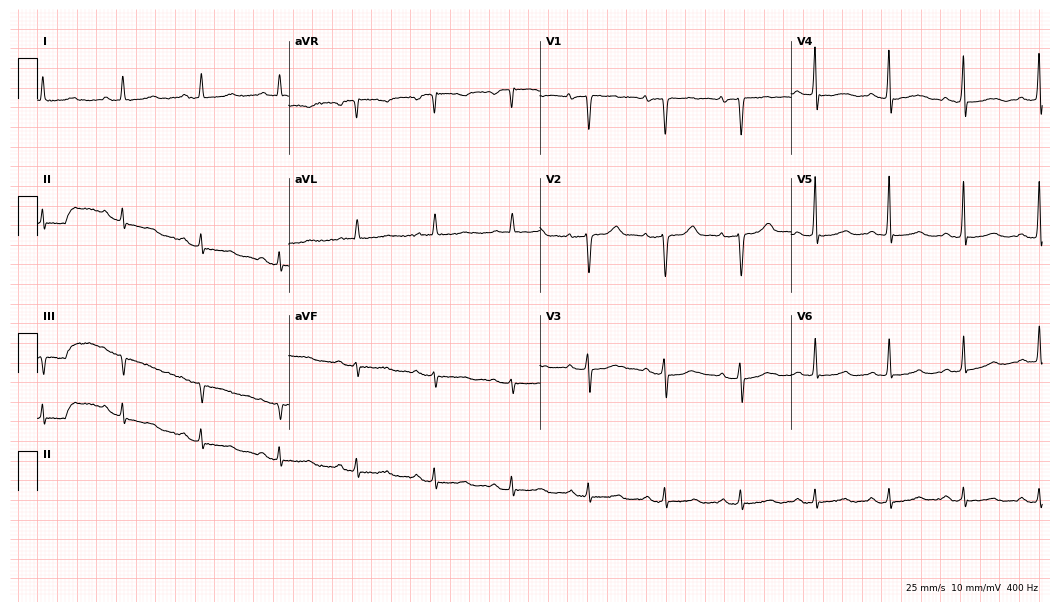
Electrocardiogram, a 66-year-old female. Overall reading on record: normal ECG.